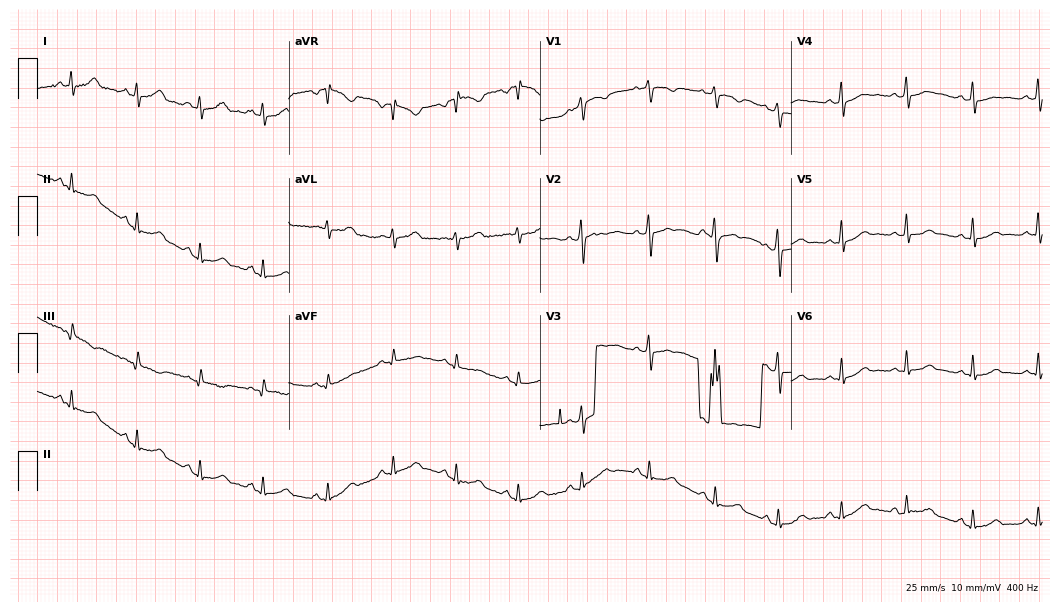
12-lead ECG from a female patient, 38 years old (10.2-second recording at 400 Hz). No first-degree AV block, right bundle branch block, left bundle branch block, sinus bradycardia, atrial fibrillation or sinus tachycardia recorded for this tracing. Findings outside these six are not listed.